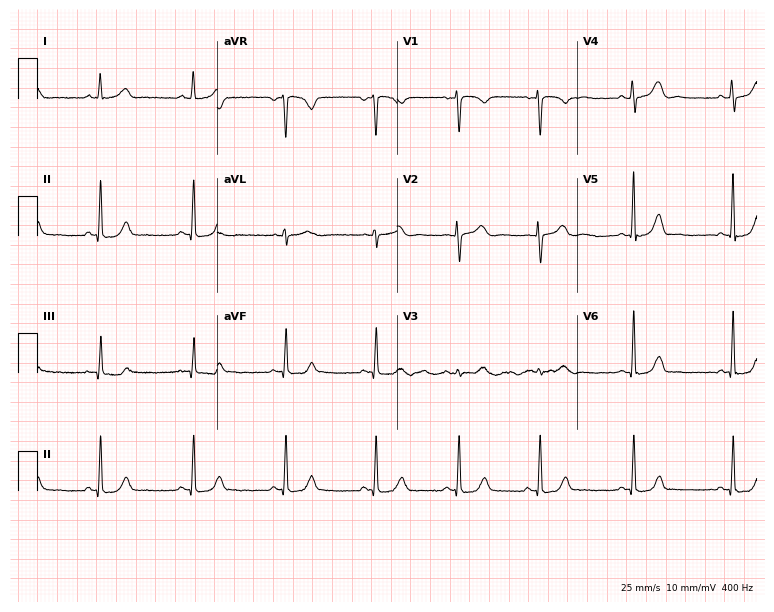
Electrocardiogram, a female patient, 34 years old. Overall reading on record: normal ECG.